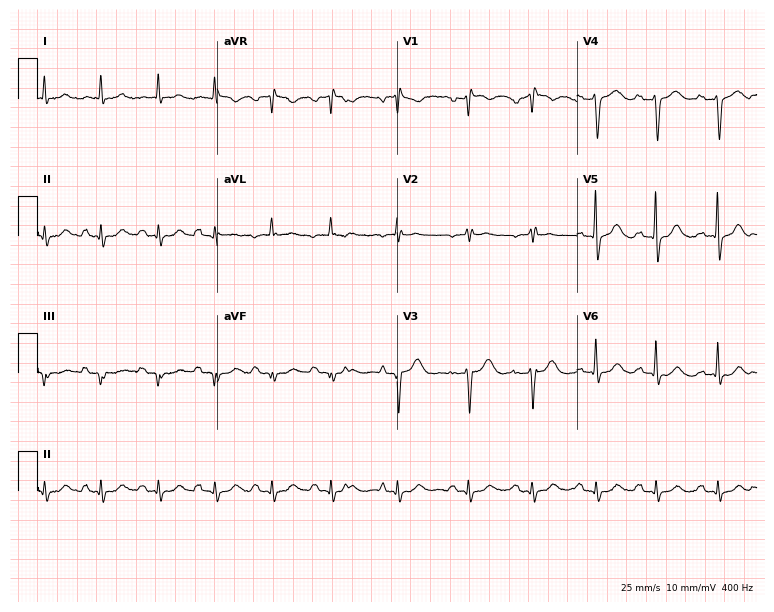
Resting 12-lead electrocardiogram (7.3-second recording at 400 Hz). Patient: a 77-year-old female. Read as a normal ECG.